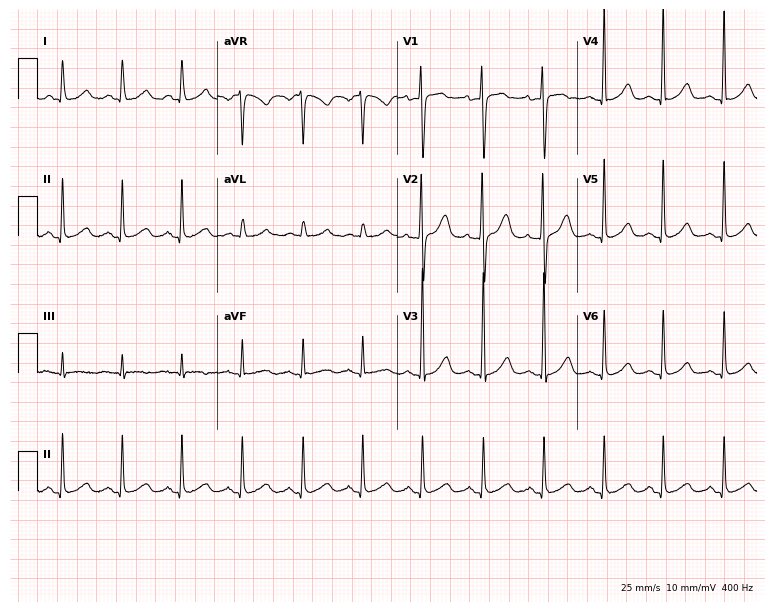
12-lead ECG from a female, 43 years old. Recorded interpretation: within normal limits.